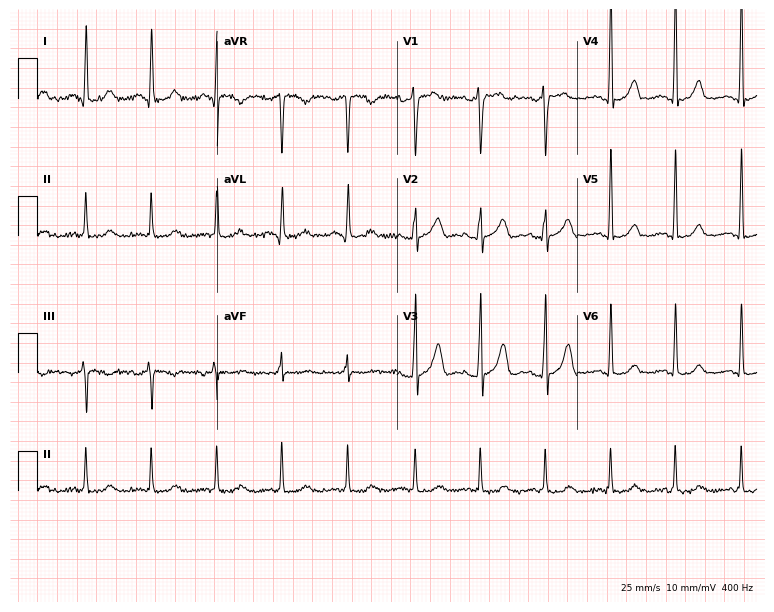
Standard 12-lead ECG recorded from a 34-year-old woman (7.3-second recording at 400 Hz). Read as a normal ECG.